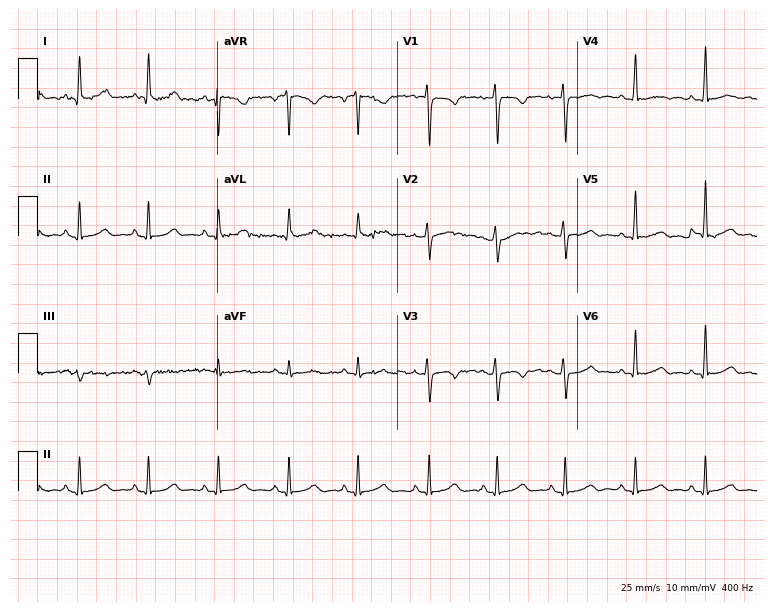
ECG — a 31-year-old female. Screened for six findings — first-degree AV block, right bundle branch block, left bundle branch block, sinus bradycardia, atrial fibrillation, sinus tachycardia — none is recorded. Findings outside these six are not listed.